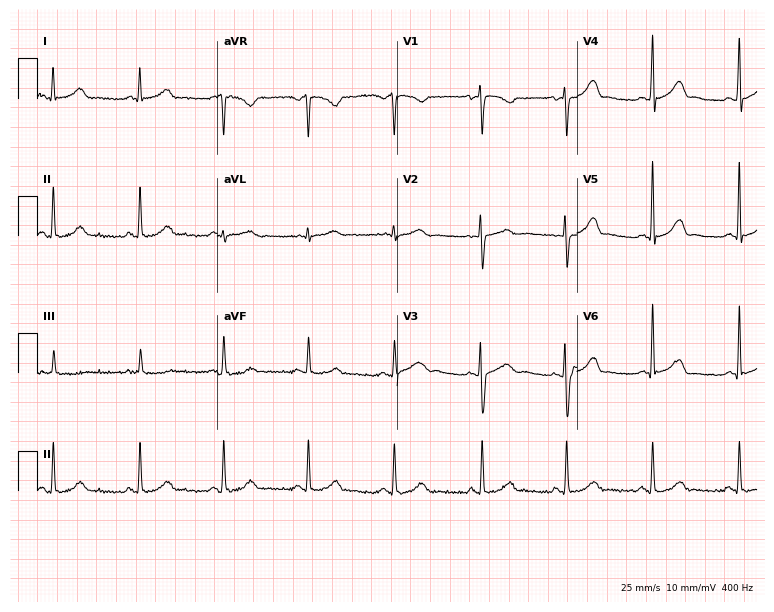
12-lead ECG from a woman, 34 years old. Labelled as a normal ECG.